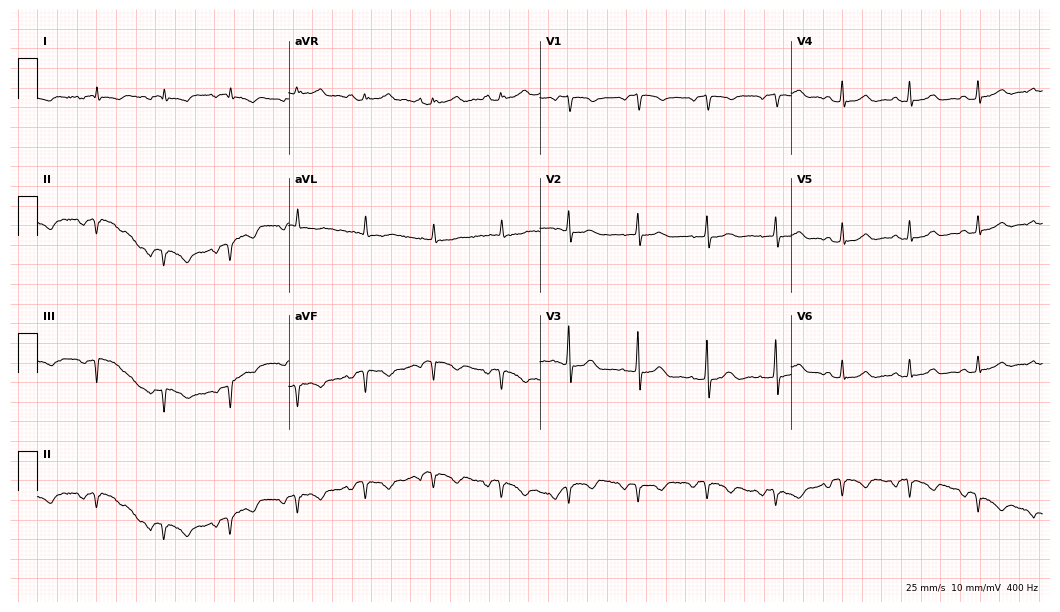
Electrocardiogram (10.2-second recording at 400 Hz), a female patient, 63 years old. Of the six screened findings (first-degree AV block, right bundle branch block, left bundle branch block, sinus bradycardia, atrial fibrillation, sinus tachycardia), none is recorded. Other findings, if any, are not listed.